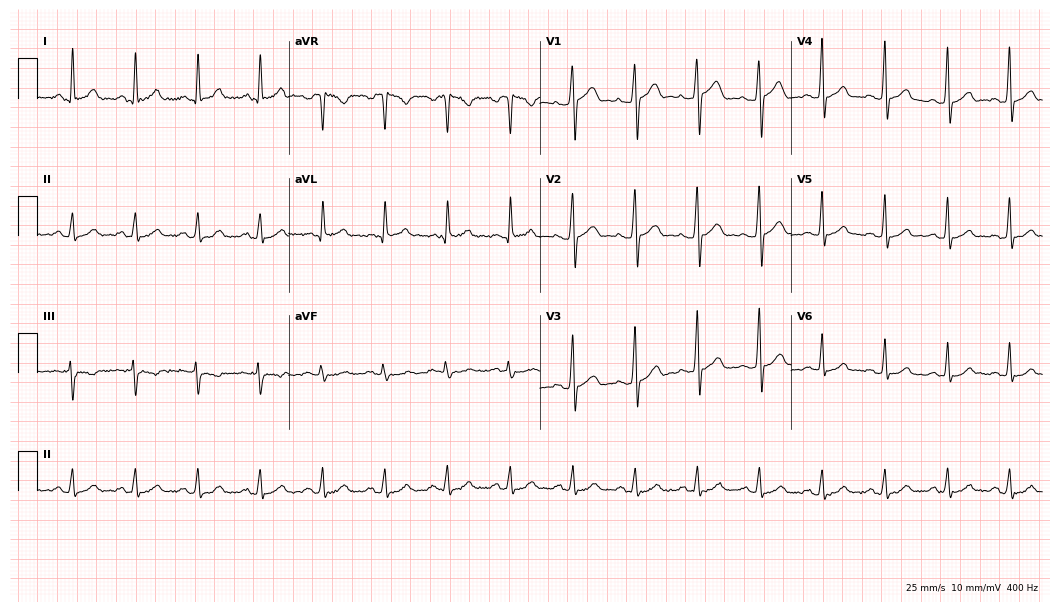
Electrocardiogram (10.2-second recording at 400 Hz), a 37-year-old male. Overall reading on record: normal ECG.